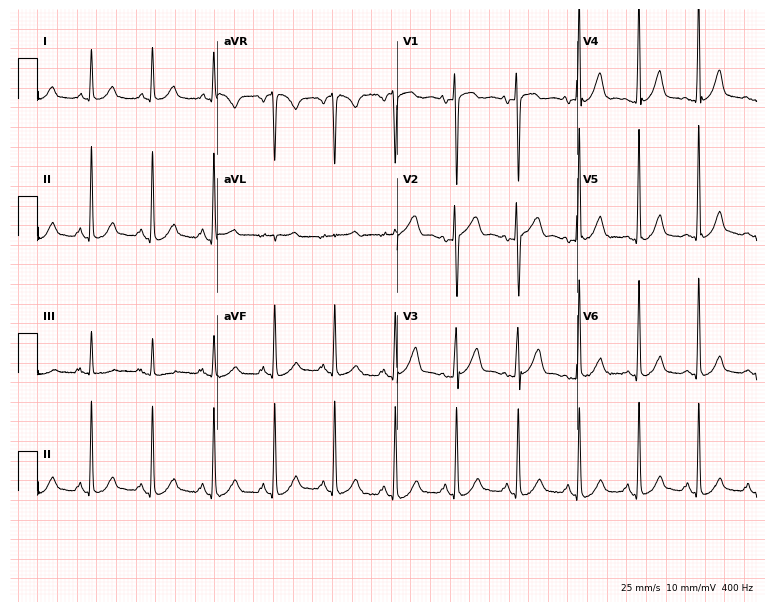
ECG (7.3-second recording at 400 Hz) — a 42-year-old female. Labelled as a normal ECG.